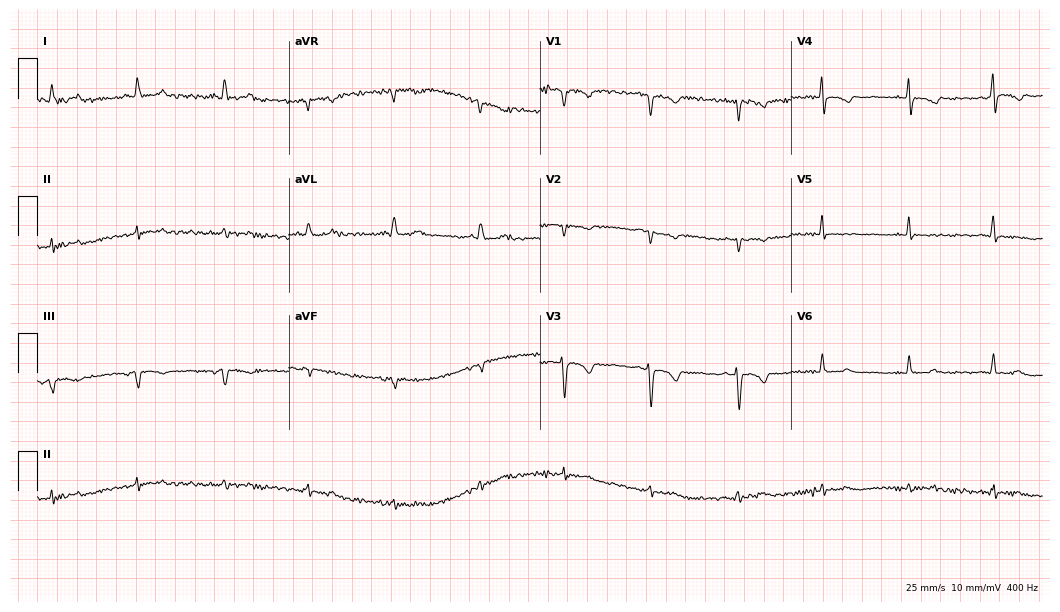
Electrocardiogram, a 58-year-old female patient. Of the six screened findings (first-degree AV block, right bundle branch block, left bundle branch block, sinus bradycardia, atrial fibrillation, sinus tachycardia), none is recorded.